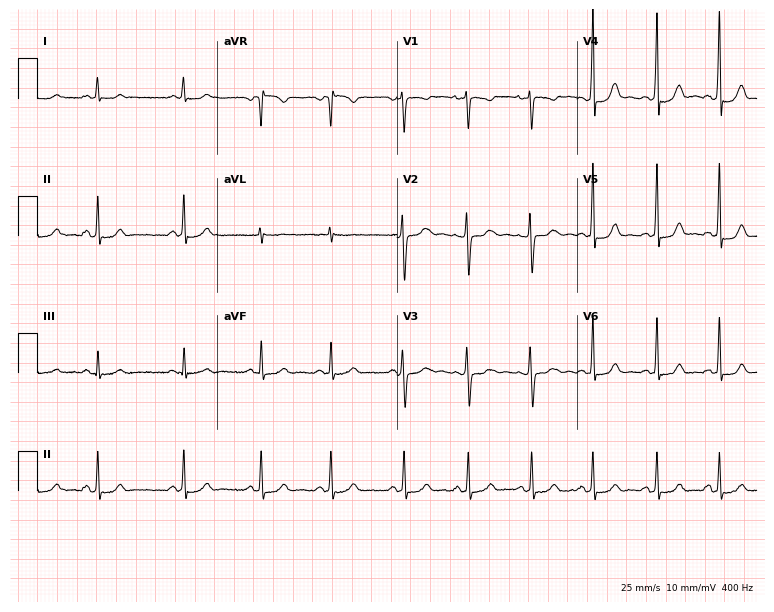
ECG (7.3-second recording at 400 Hz) — an 18-year-old female patient. Screened for six findings — first-degree AV block, right bundle branch block (RBBB), left bundle branch block (LBBB), sinus bradycardia, atrial fibrillation (AF), sinus tachycardia — none is recorded. Only these six findings were labelled.